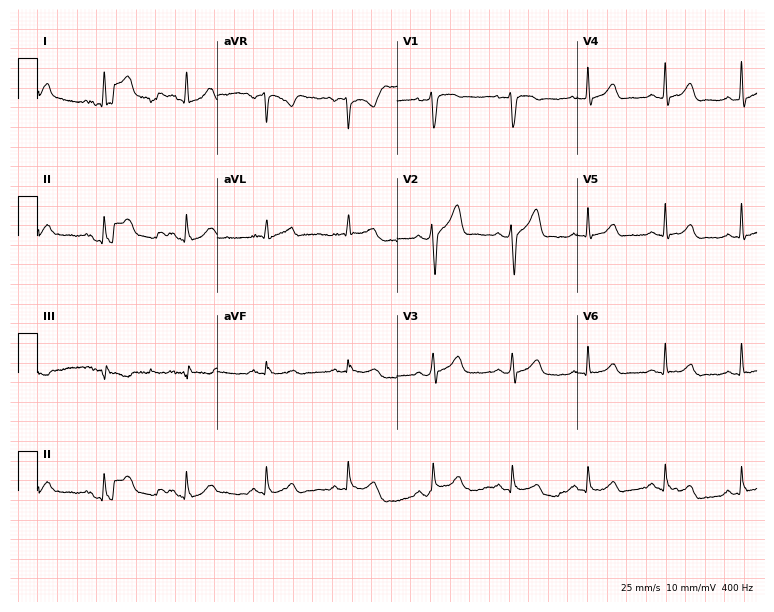
Resting 12-lead electrocardiogram. Patient: a male, 36 years old. Read as a normal ECG.